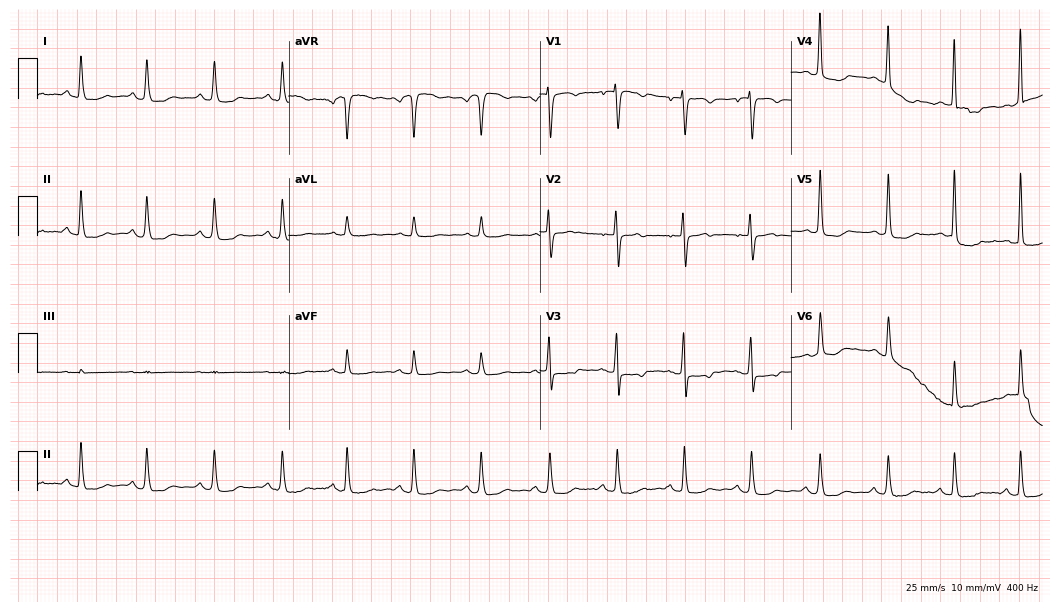
Resting 12-lead electrocardiogram. Patient: a female, 72 years old. None of these six findings is recorded: first-degree AV block, right bundle branch block (RBBB), left bundle branch block (LBBB), sinus bradycardia, atrial fibrillation (AF), sinus tachycardia. Other findings, if any, are not listed.